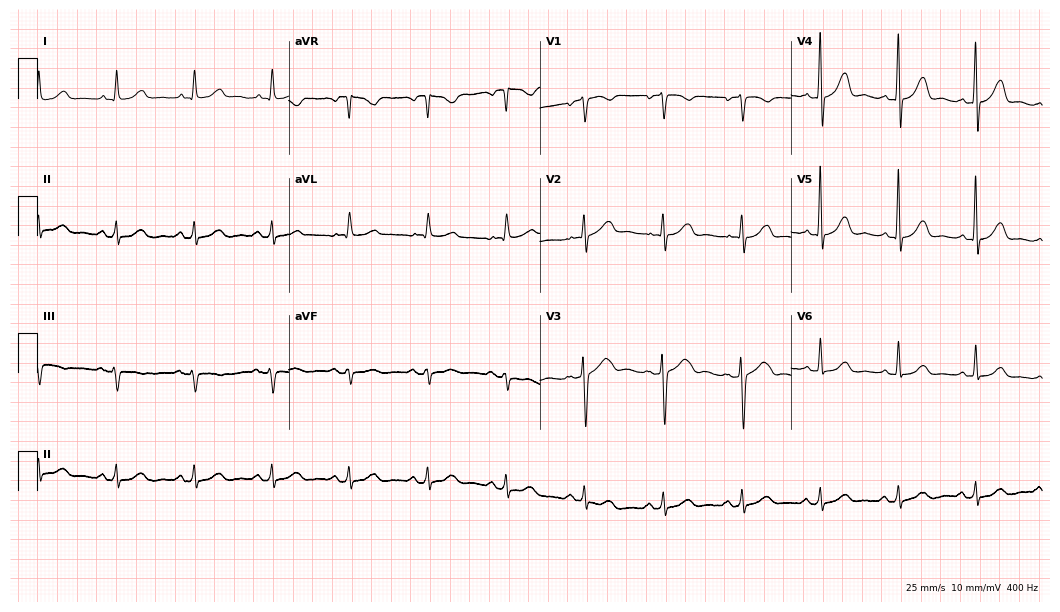
Standard 12-lead ECG recorded from a 79-year-old woman. Read as a normal ECG.